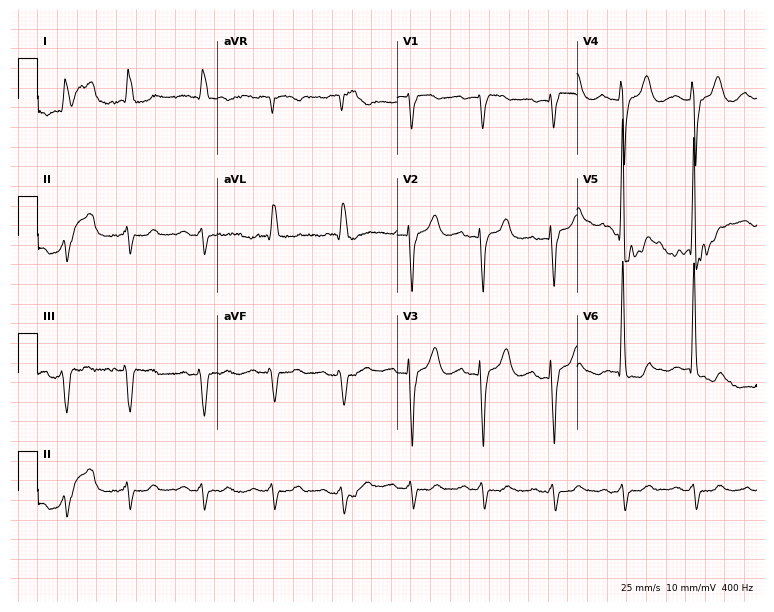
Standard 12-lead ECG recorded from a male patient, 75 years old (7.3-second recording at 400 Hz). The tracing shows left bundle branch block (LBBB).